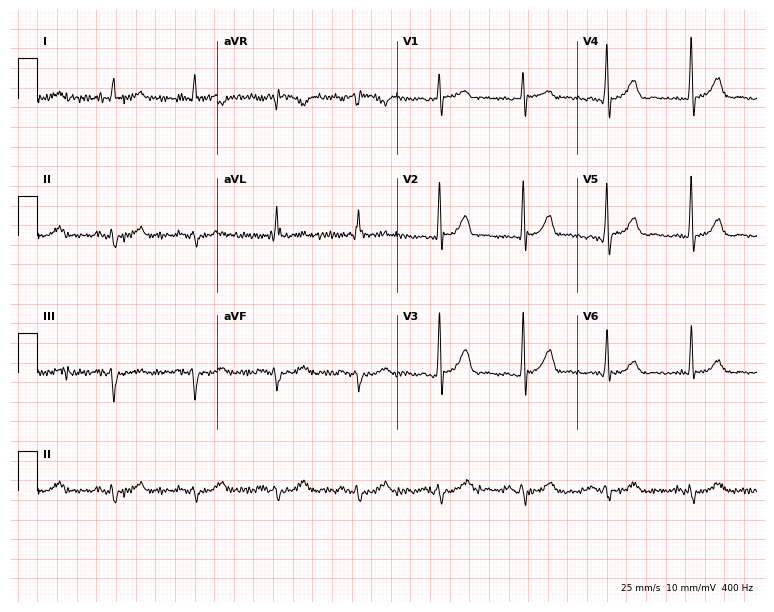
12-lead ECG (7.3-second recording at 400 Hz) from a male, 67 years old. Screened for six findings — first-degree AV block, right bundle branch block, left bundle branch block, sinus bradycardia, atrial fibrillation, sinus tachycardia — none is recorded.